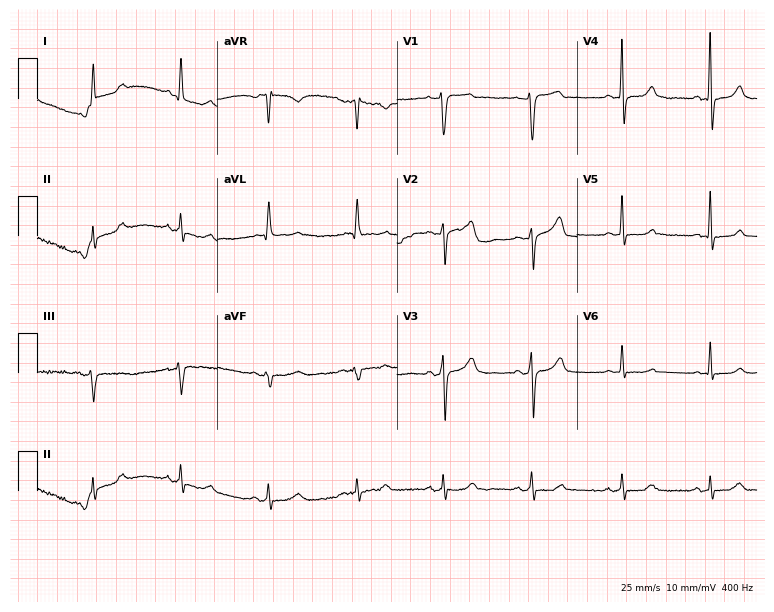
Electrocardiogram (7.3-second recording at 400 Hz), a 65-year-old woman. Of the six screened findings (first-degree AV block, right bundle branch block (RBBB), left bundle branch block (LBBB), sinus bradycardia, atrial fibrillation (AF), sinus tachycardia), none is recorded. Only these six findings were labelled.